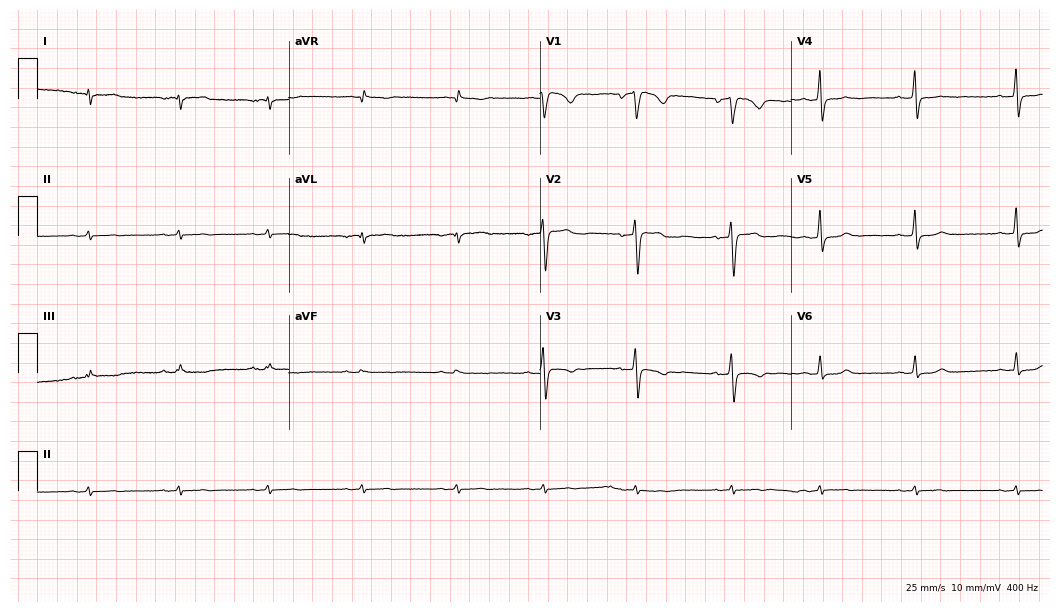
Standard 12-lead ECG recorded from a 43-year-old female patient (10.2-second recording at 400 Hz). None of these six findings is recorded: first-degree AV block, right bundle branch block, left bundle branch block, sinus bradycardia, atrial fibrillation, sinus tachycardia. Findings outside these six are not listed.